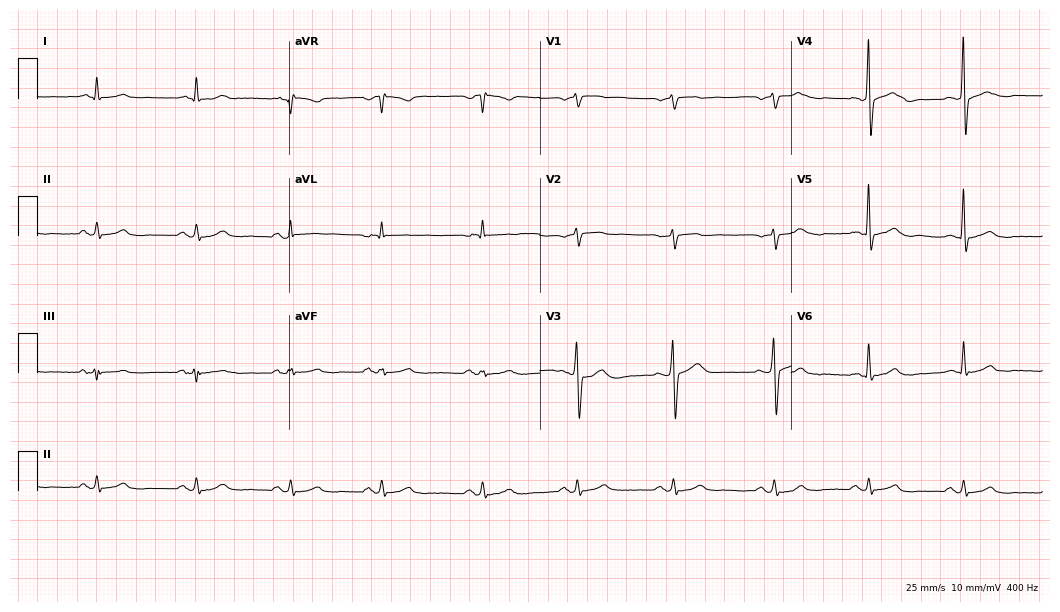
ECG (10.2-second recording at 400 Hz) — a 66-year-old male. Labelled as a normal ECG.